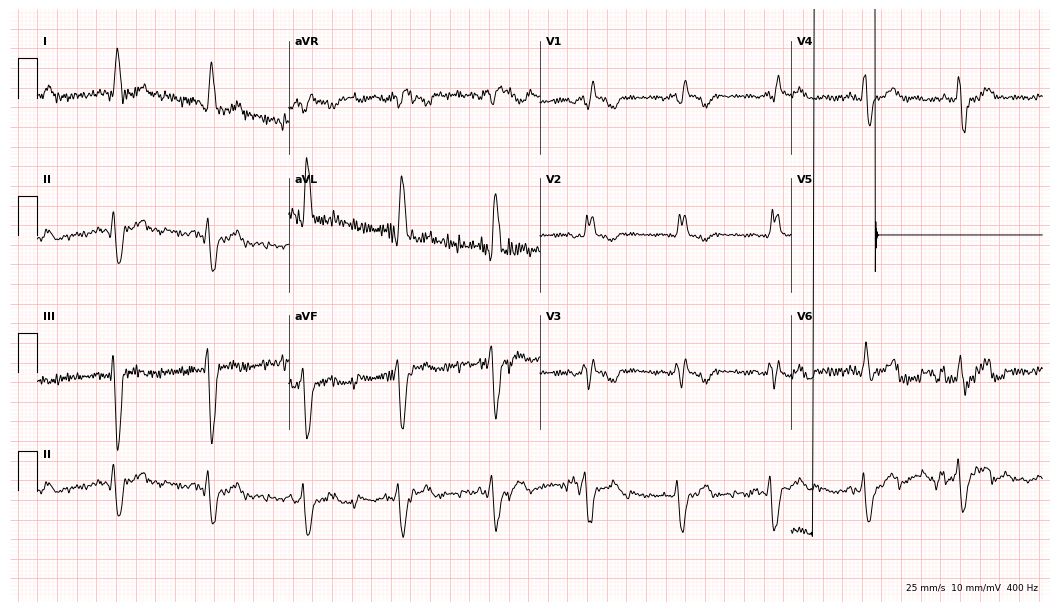
12-lead ECG (10.2-second recording at 400 Hz) from an 85-year-old female patient. Screened for six findings — first-degree AV block, right bundle branch block, left bundle branch block, sinus bradycardia, atrial fibrillation, sinus tachycardia — none is recorded.